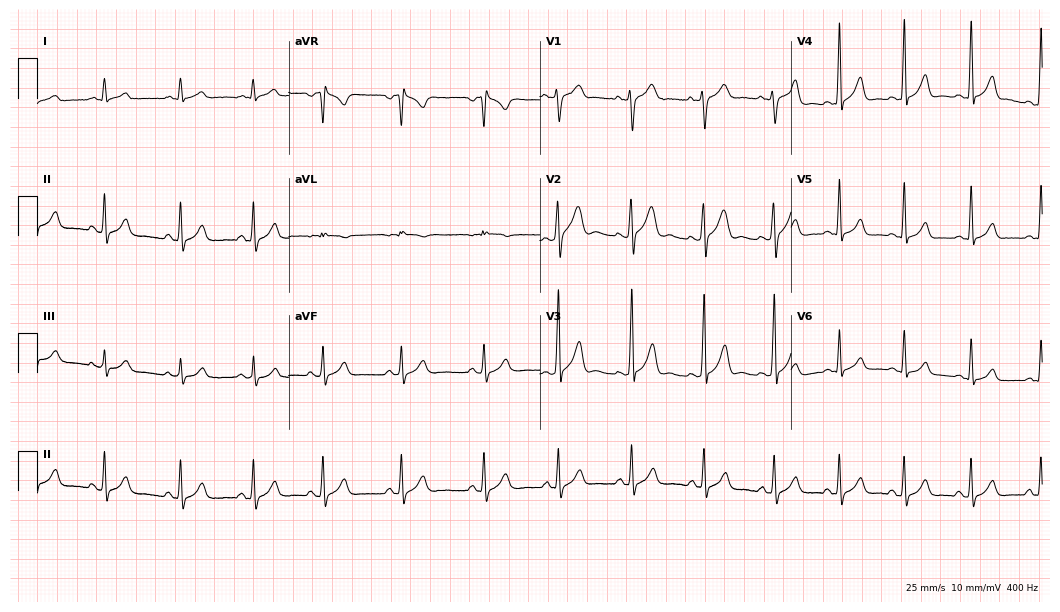
ECG (10.2-second recording at 400 Hz) — a 21-year-old man. Labelled as a normal ECG.